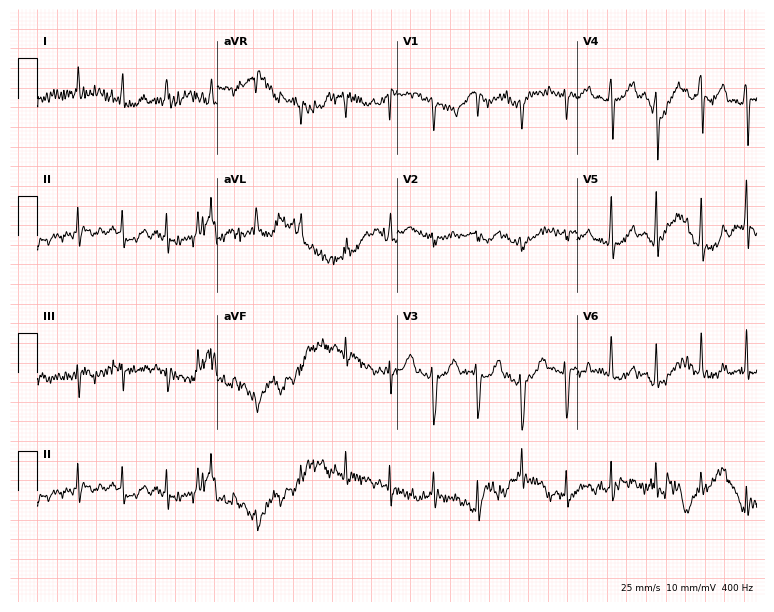
Resting 12-lead electrocardiogram (7.3-second recording at 400 Hz). Patient: a 29-year-old male. None of these six findings is recorded: first-degree AV block, right bundle branch block, left bundle branch block, sinus bradycardia, atrial fibrillation, sinus tachycardia.